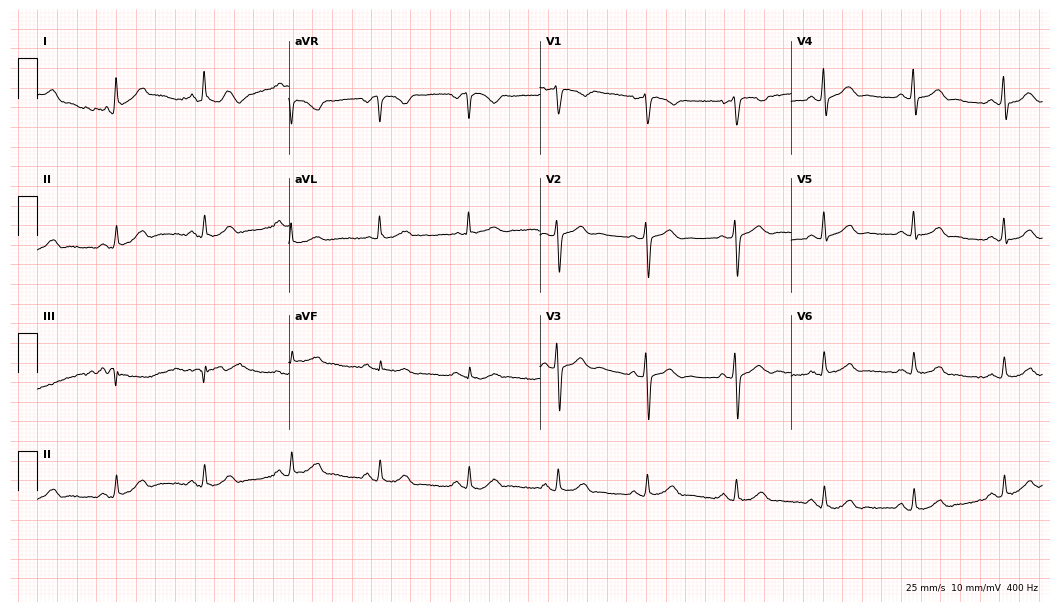
Resting 12-lead electrocardiogram. Patient: a male, 61 years old. Read as a normal ECG.